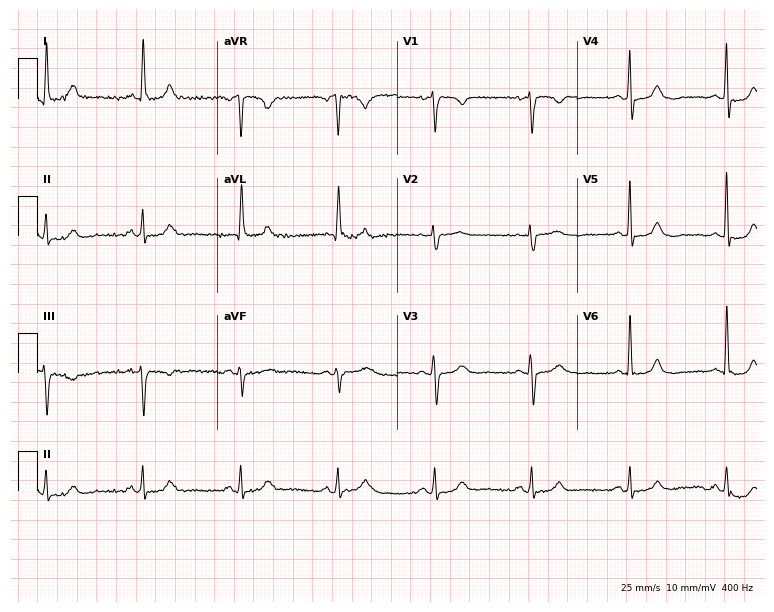
Electrocardiogram, a 77-year-old woman. Of the six screened findings (first-degree AV block, right bundle branch block (RBBB), left bundle branch block (LBBB), sinus bradycardia, atrial fibrillation (AF), sinus tachycardia), none is recorded. Only these six findings were labelled.